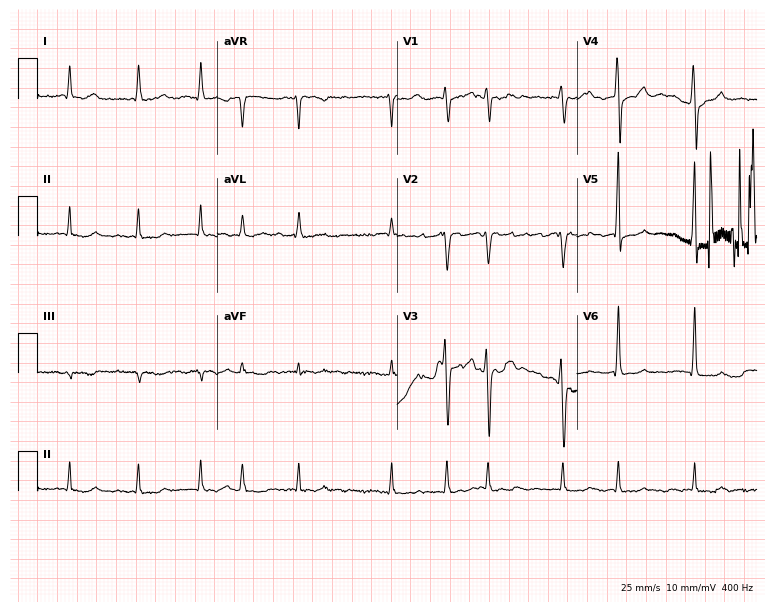
Electrocardiogram (7.3-second recording at 400 Hz), a man, 66 years old. Interpretation includes atrial fibrillation (AF).